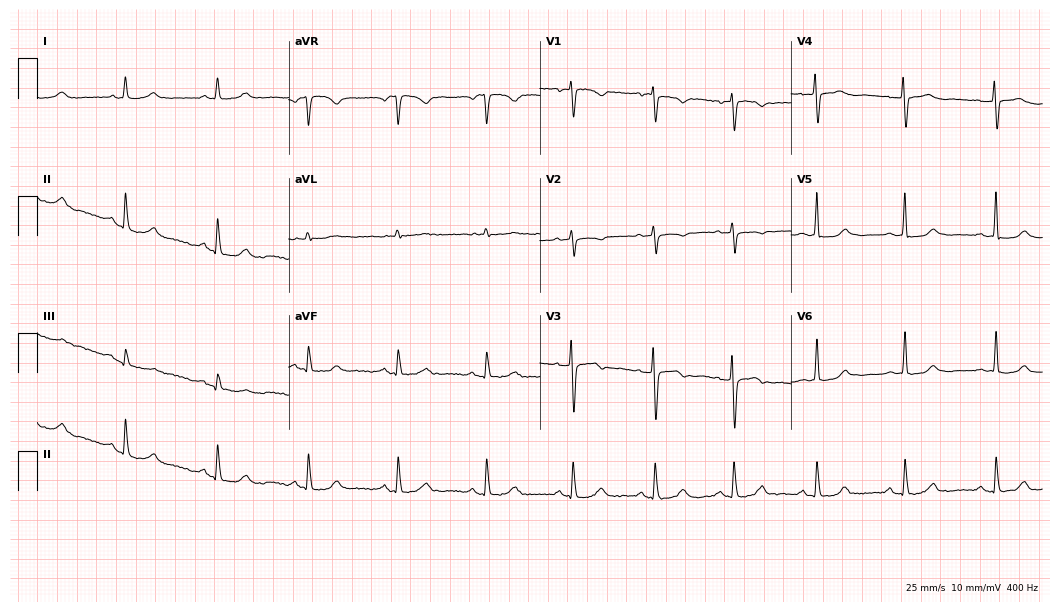
Electrocardiogram, a female, 44 years old. Of the six screened findings (first-degree AV block, right bundle branch block, left bundle branch block, sinus bradycardia, atrial fibrillation, sinus tachycardia), none is recorded.